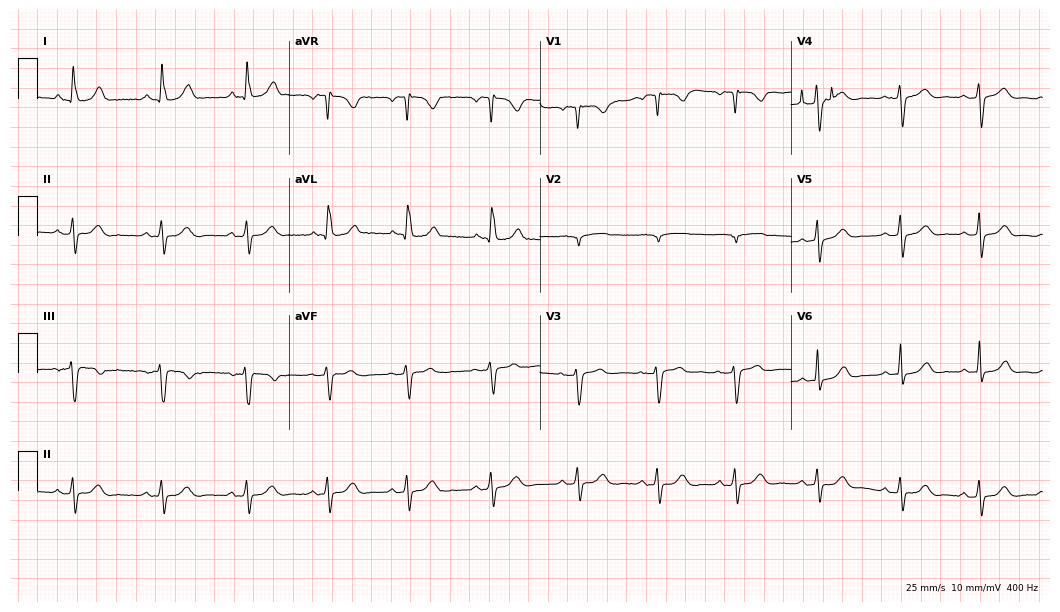
12-lead ECG from a woman, 49 years old (10.2-second recording at 400 Hz). No first-degree AV block, right bundle branch block, left bundle branch block, sinus bradycardia, atrial fibrillation or sinus tachycardia recorded for this tracing. Findings outside these six are not listed.